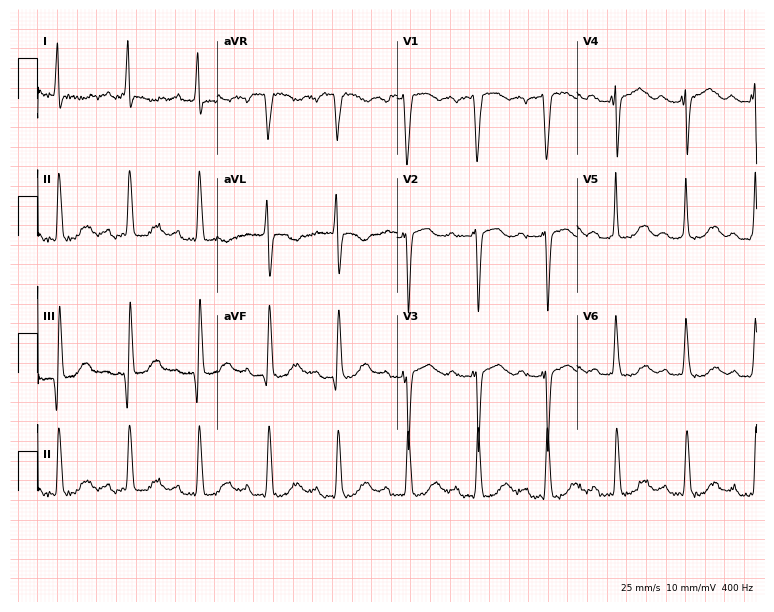
Resting 12-lead electrocardiogram (7.3-second recording at 400 Hz). Patient: a female, 59 years old. The tracing shows first-degree AV block.